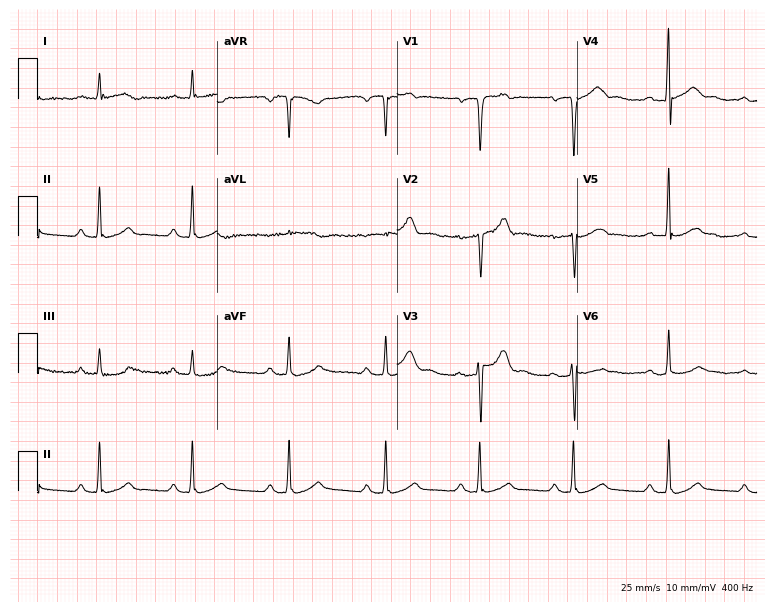
Electrocardiogram (7.3-second recording at 400 Hz), a male, 45 years old. Of the six screened findings (first-degree AV block, right bundle branch block (RBBB), left bundle branch block (LBBB), sinus bradycardia, atrial fibrillation (AF), sinus tachycardia), none is recorded.